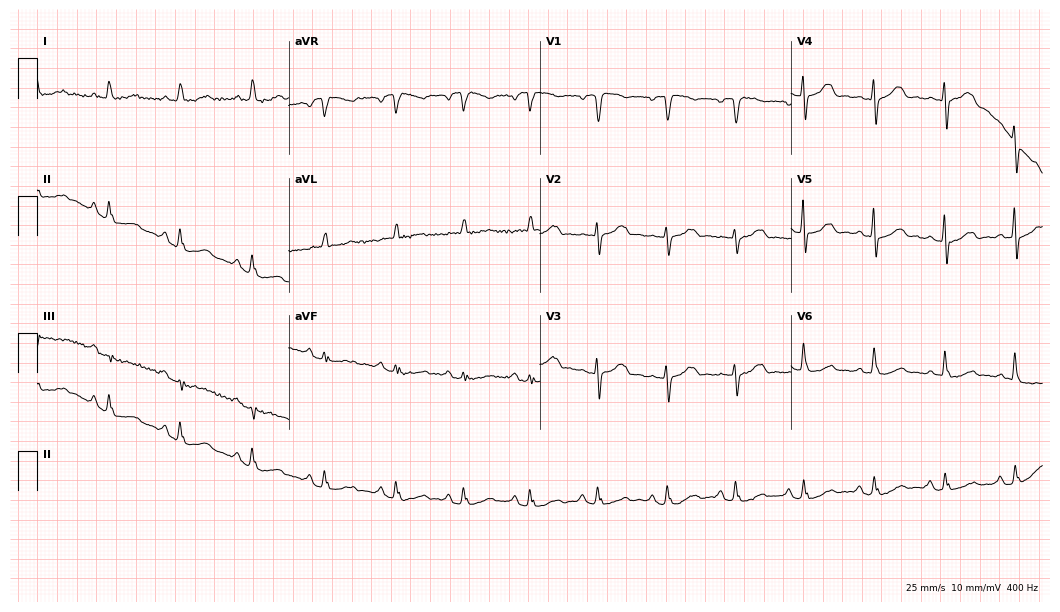
12-lead ECG from a female, 67 years old (10.2-second recording at 400 Hz). Recorded interpretation: within normal limits.